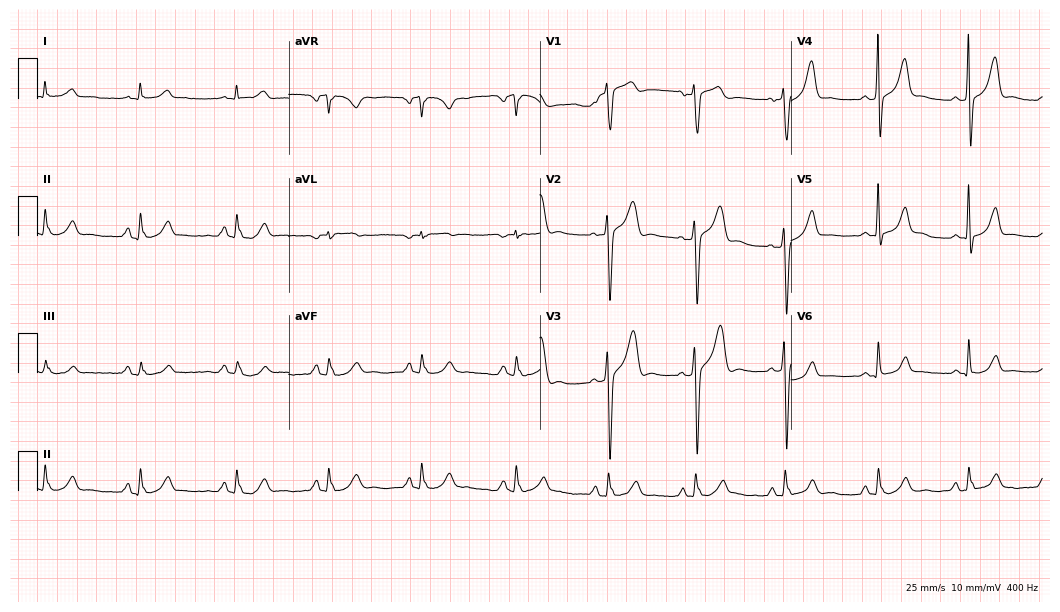
ECG (10.2-second recording at 400 Hz) — a man, 40 years old. Labelled as a normal ECG.